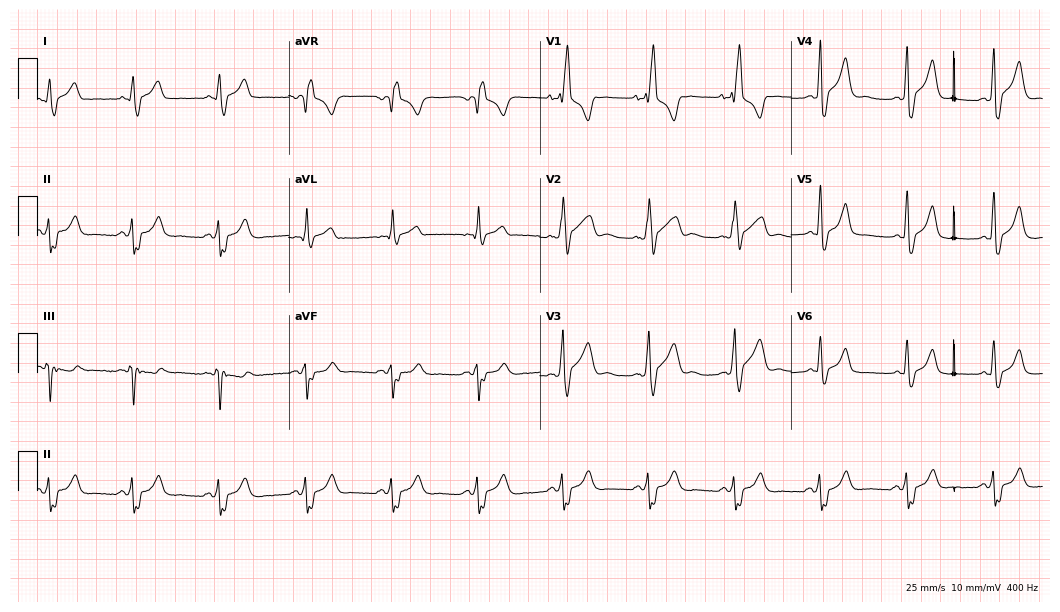
12-lead ECG from a 37-year-old man (10.2-second recording at 400 Hz). Shows right bundle branch block (RBBB).